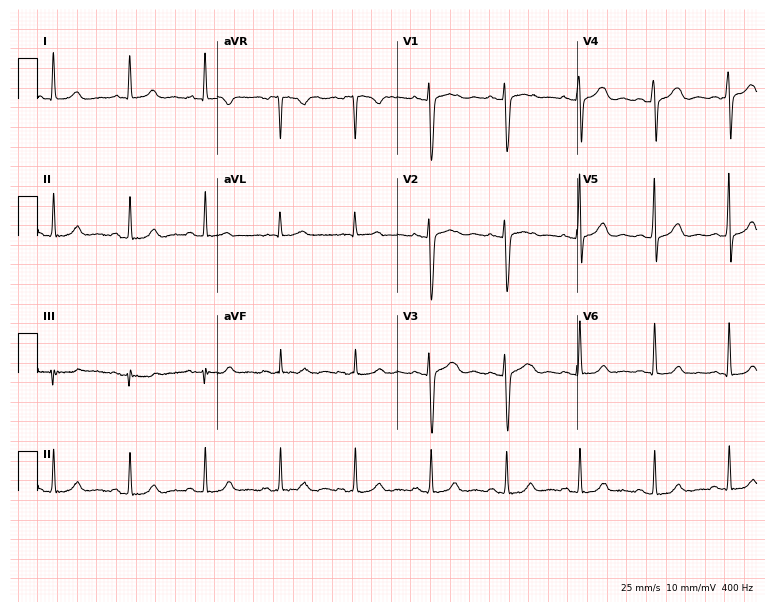
12-lead ECG from a 39-year-old woman (7.3-second recording at 400 Hz). No first-degree AV block, right bundle branch block, left bundle branch block, sinus bradycardia, atrial fibrillation or sinus tachycardia recorded for this tracing. Other findings, if any, are not listed.